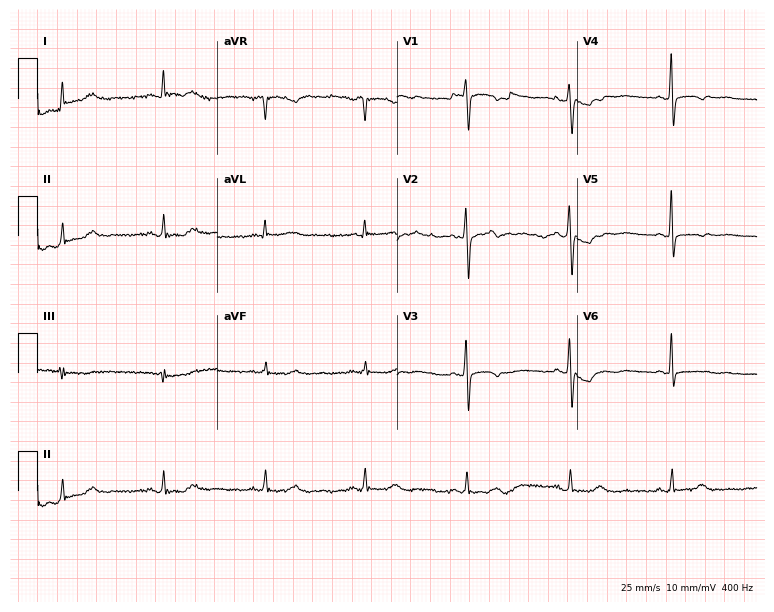
Electrocardiogram, a woman, 58 years old. Of the six screened findings (first-degree AV block, right bundle branch block (RBBB), left bundle branch block (LBBB), sinus bradycardia, atrial fibrillation (AF), sinus tachycardia), none is recorded.